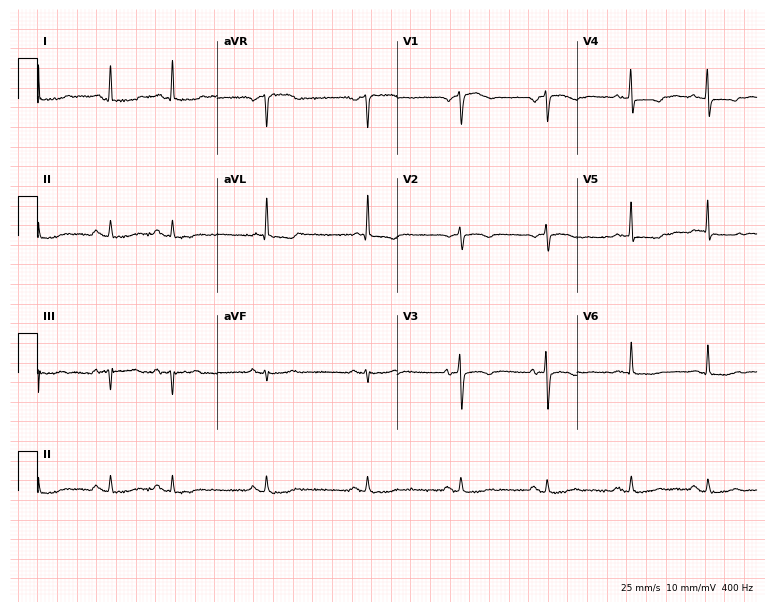
Standard 12-lead ECG recorded from a 79-year-old female. None of these six findings is recorded: first-degree AV block, right bundle branch block, left bundle branch block, sinus bradycardia, atrial fibrillation, sinus tachycardia. Other findings, if any, are not listed.